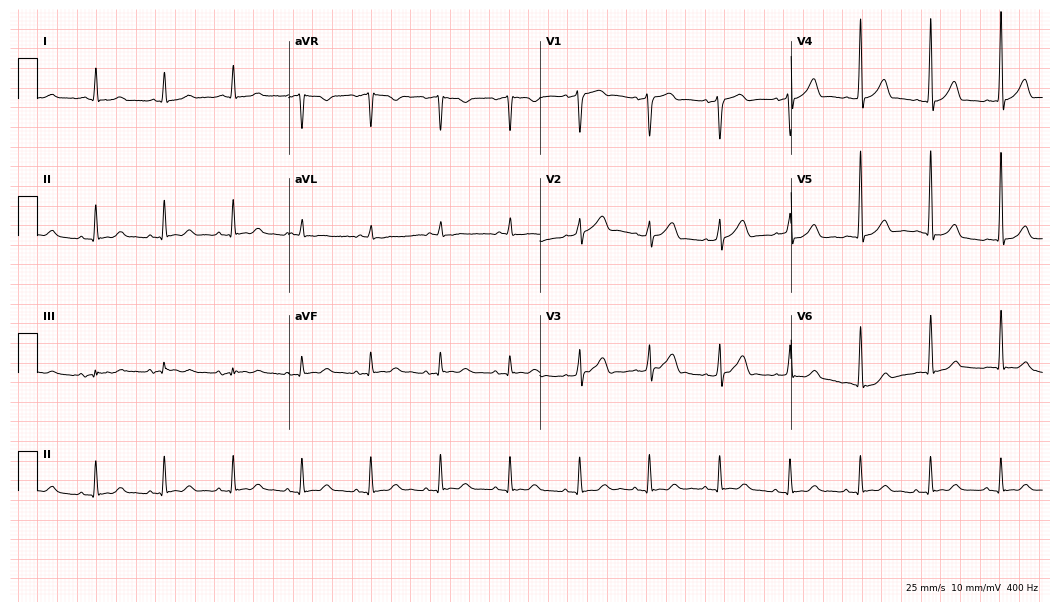
ECG (10.2-second recording at 400 Hz) — a man, 60 years old. Screened for six findings — first-degree AV block, right bundle branch block, left bundle branch block, sinus bradycardia, atrial fibrillation, sinus tachycardia — none is recorded. Findings outside these six are not listed.